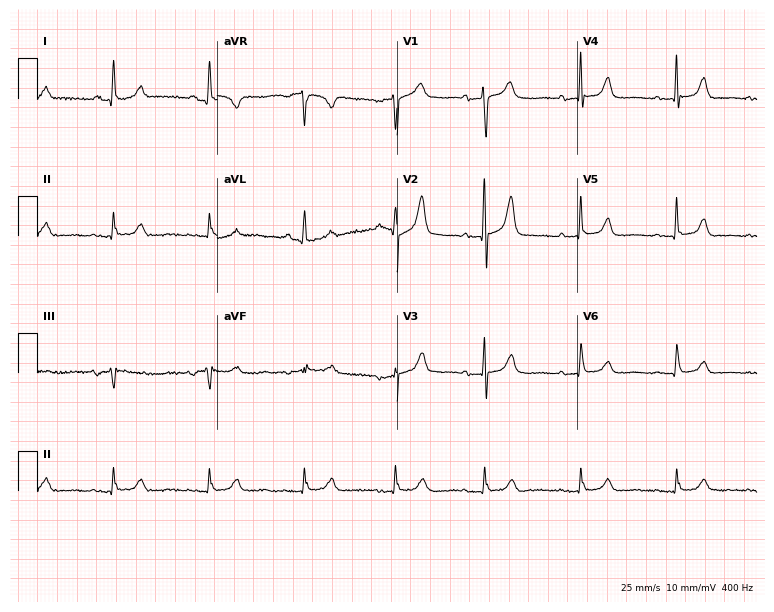
ECG (7.3-second recording at 400 Hz) — a 77-year-old woman. Labelled as a normal ECG.